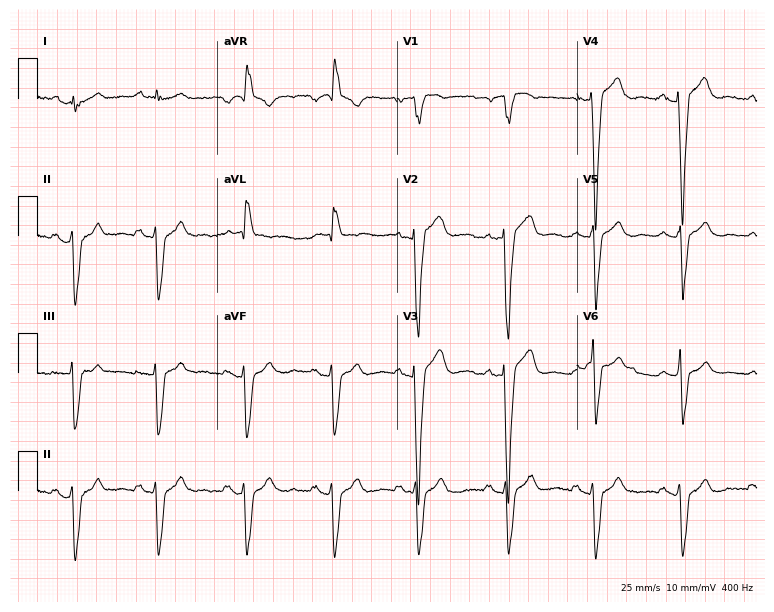
Resting 12-lead electrocardiogram (7.3-second recording at 400 Hz). Patient: a 65-year-old male. None of these six findings is recorded: first-degree AV block, right bundle branch block (RBBB), left bundle branch block (LBBB), sinus bradycardia, atrial fibrillation (AF), sinus tachycardia. Only these six findings were labelled.